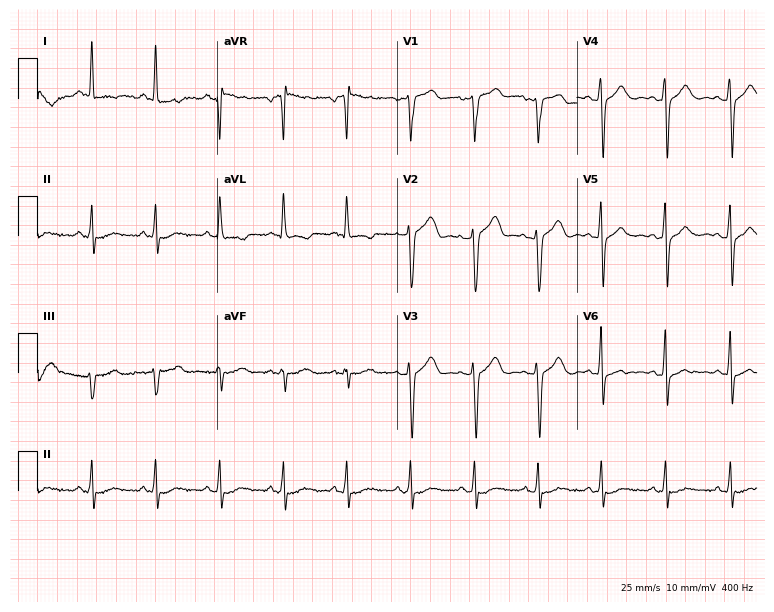
ECG (7.3-second recording at 400 Hz) — a 68-year-old woman. Screened for six findings — first-degree AV block, right bundle branch block, left bundle branch block, sinus bradycardia, atrial fibrillation, sinus tachycardia — none is recorded.